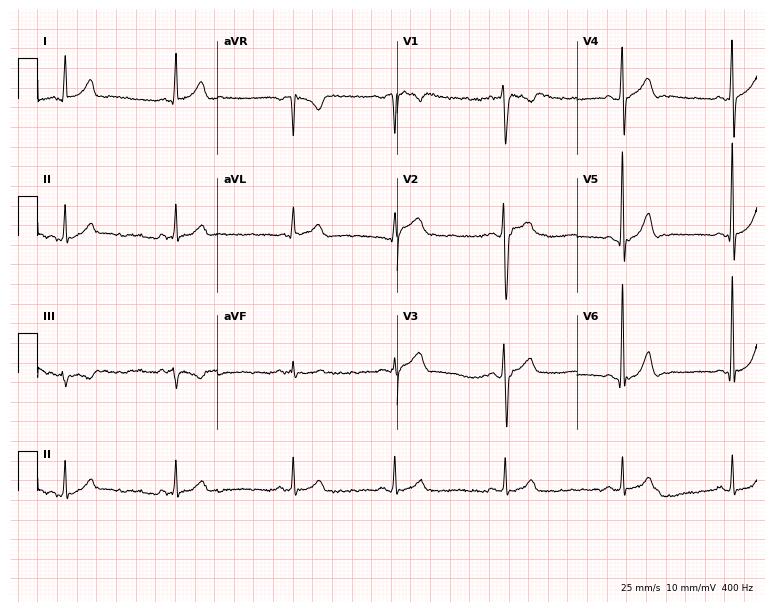
12-lead ECG (7.3-second recording at 400 Hz) from a 21-year-old male patient. Labelled as a normal ECG.